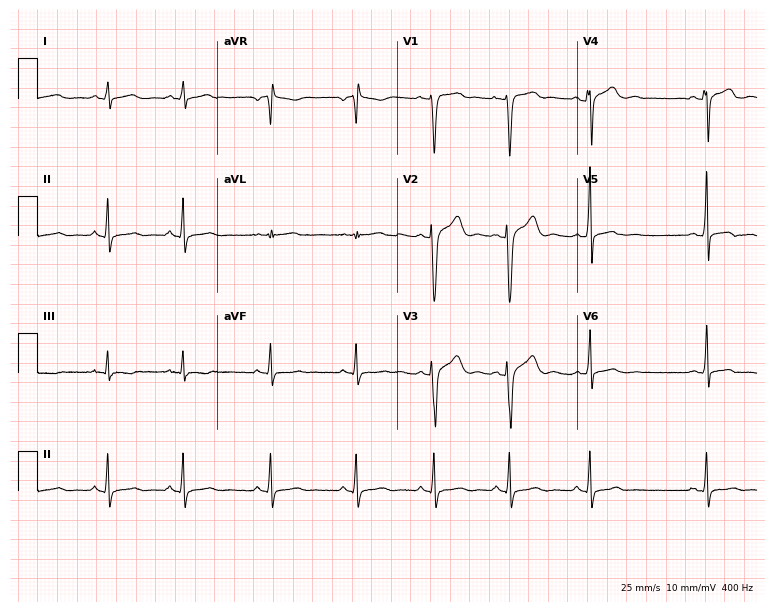
12-lead ECG from a 20-year-old man (7.3-second recording at 400 Hz). No first-degree AV block, right bundle branch block, left bundle branch block, sinus bradycardia, atrial fibrillation or sinus tachycardia recorded for this tracing.